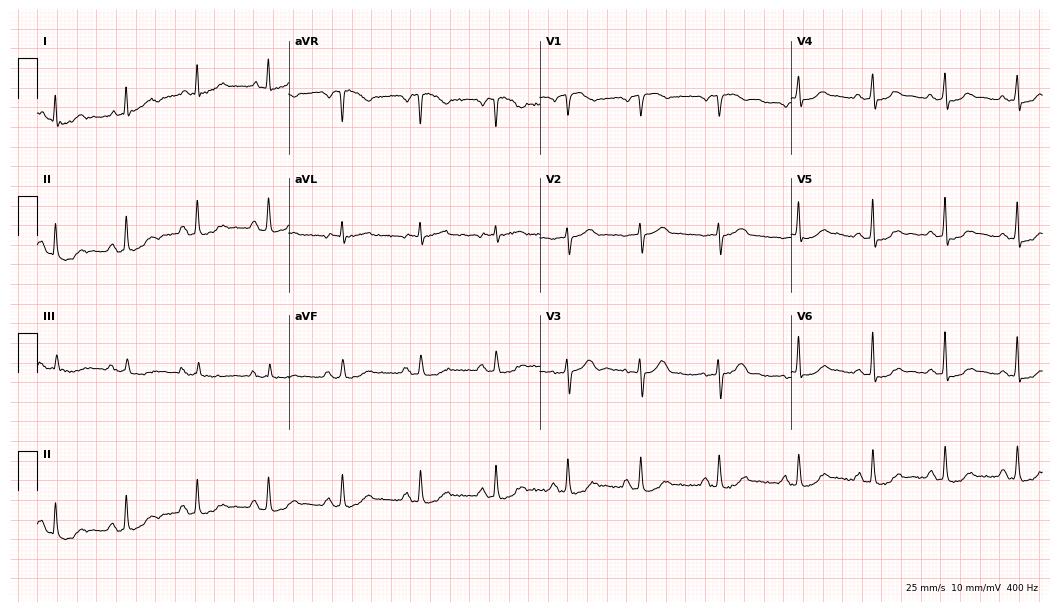
Electrocardiogram (10.2-second recording at 400 Hz), a woman, 71 years old. Overall reading on record: normal ECG.